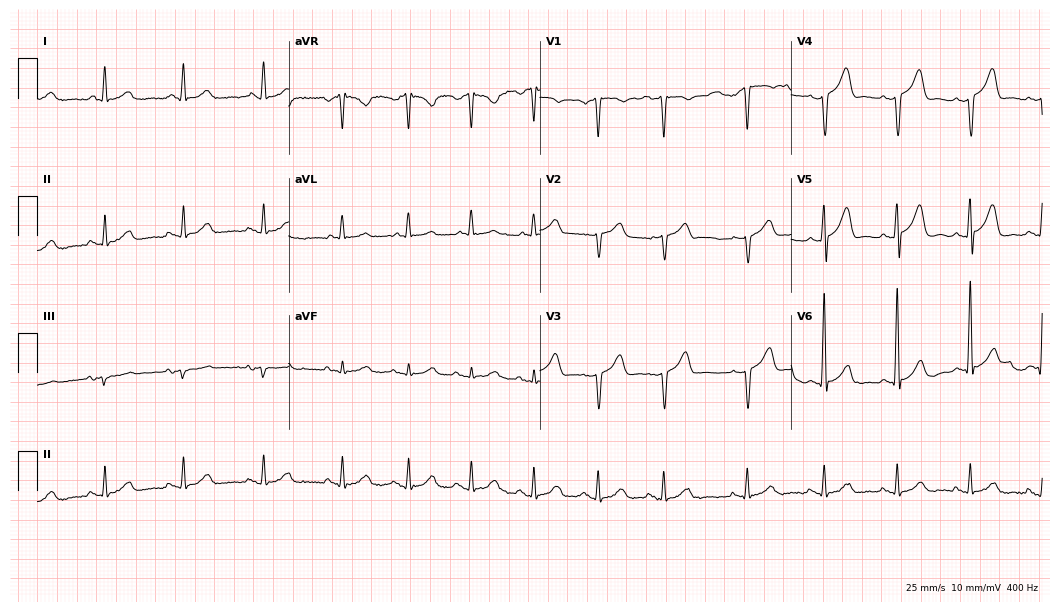
Standard 12-lead ECG recorded from a man, 59 years old (10.2-second recording at 400 Hz). Read as a normal ECG.